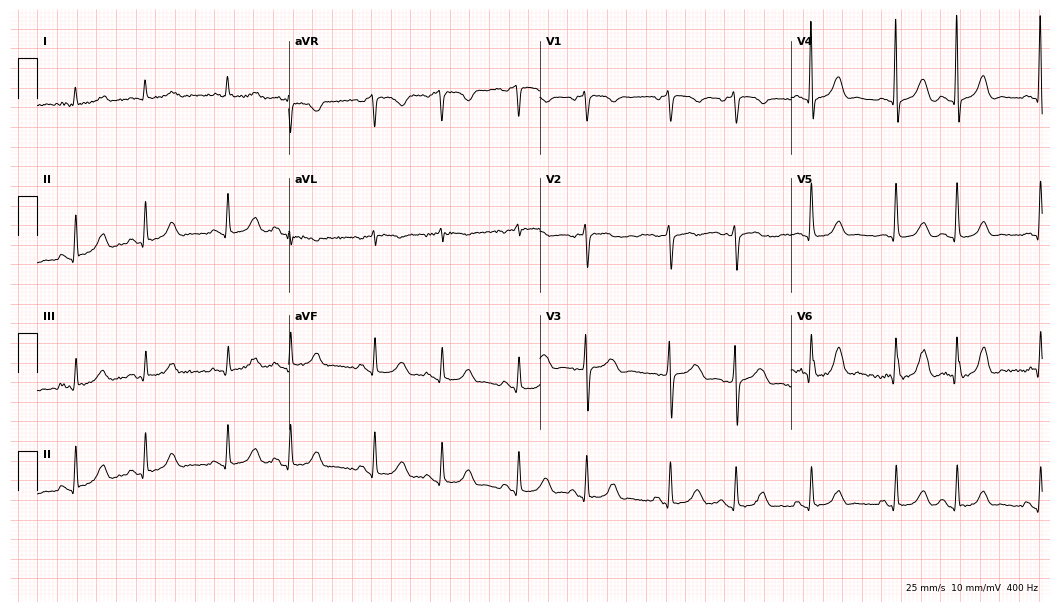
Resting 12-lead electrocardiogram. Patient: an 80-year-old female. Read as a normal ECG.